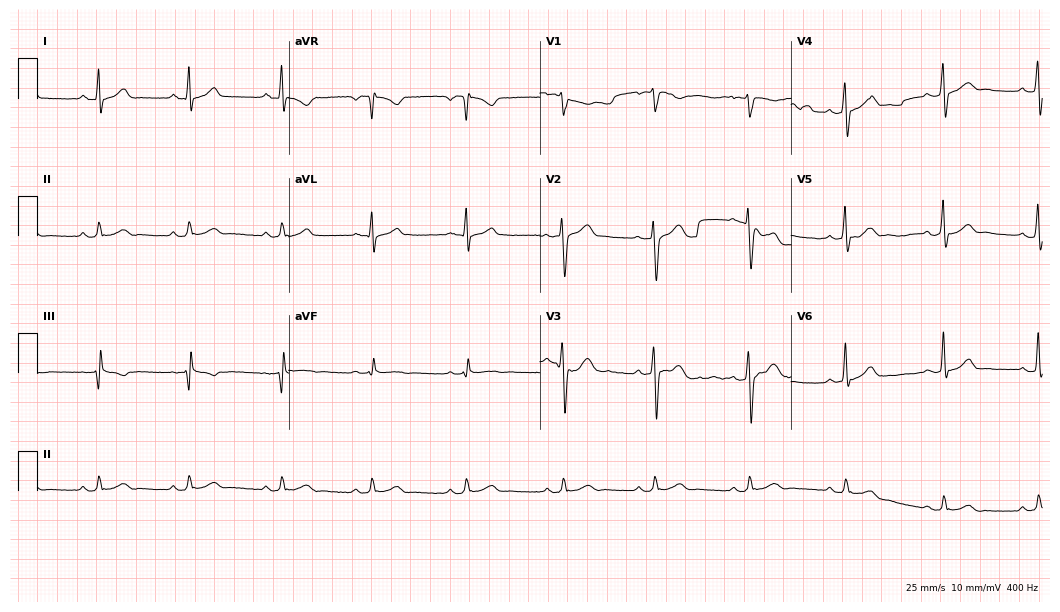
Standard 12-lead ECG recorded from a 36-year-old male patient. Read as a normal ECG.